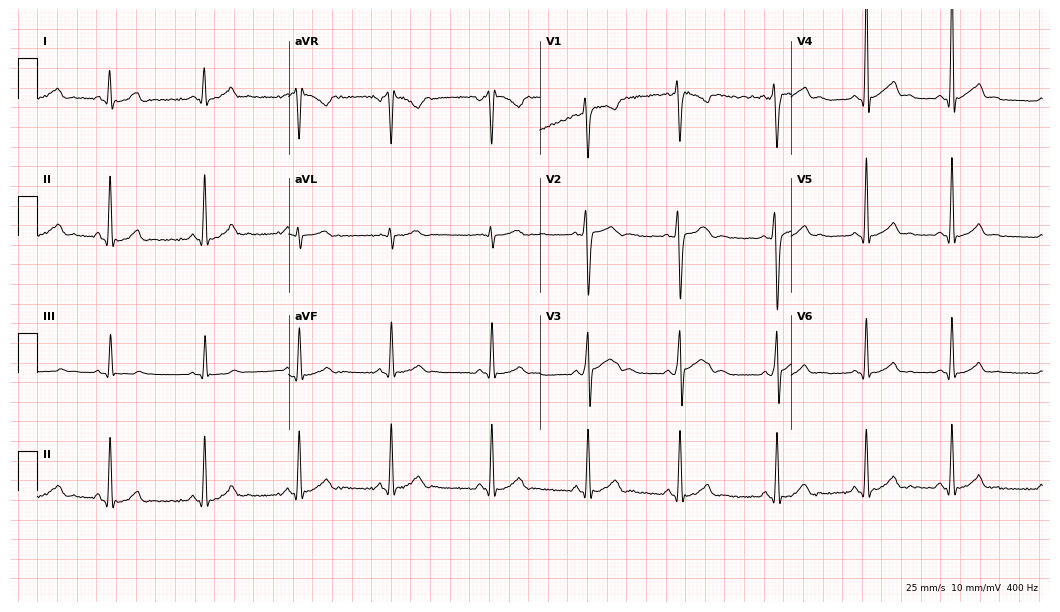
12-lead ECG from a 19-year-old male (10.2-second recording at 400 Hz). Recorded interpretation: within normal limits.